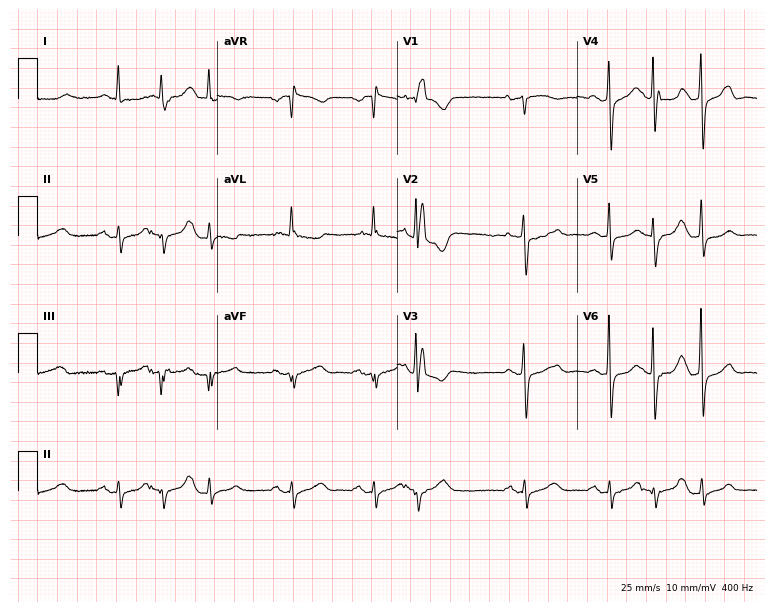
ECG (7.3-second recording at 400 Hz) — an 84-year-old woman. Screened for six findings — first-degree AV block, right bundle branch block, left bundle branch block, sinus bradycardia, atrial fibrillation, sinus tachycardia — none is recorded.